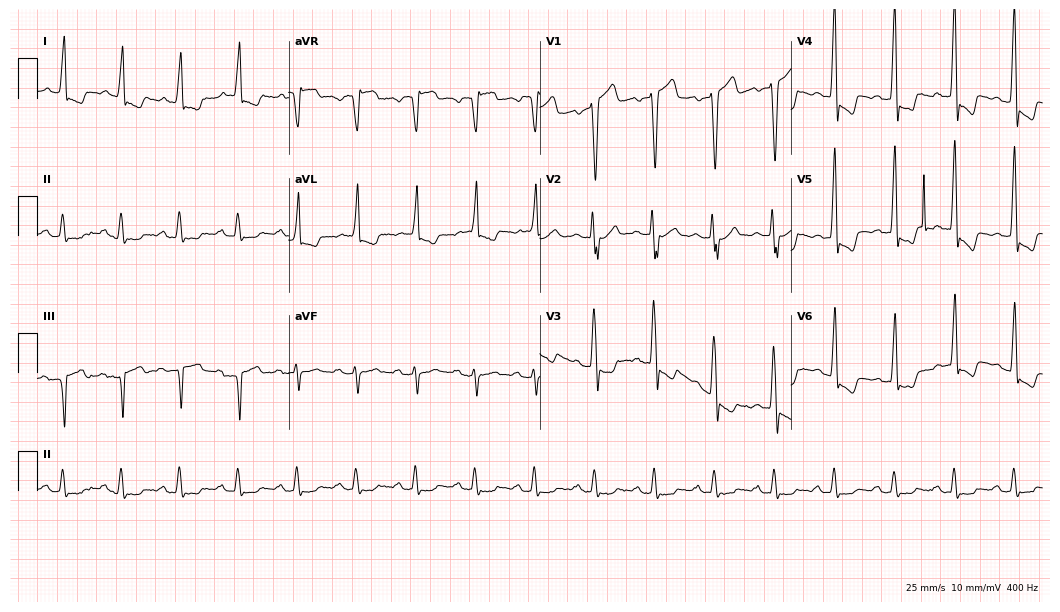
Electrocardiogram, a male, 73 years old. Of the six screened findings (first-degree AV block, right bundle branch block, left bundle branch block, sinus bradycardia, atrial fibrillation, sinus tachycardia), none is recorded. Findings outside these six are not listed.